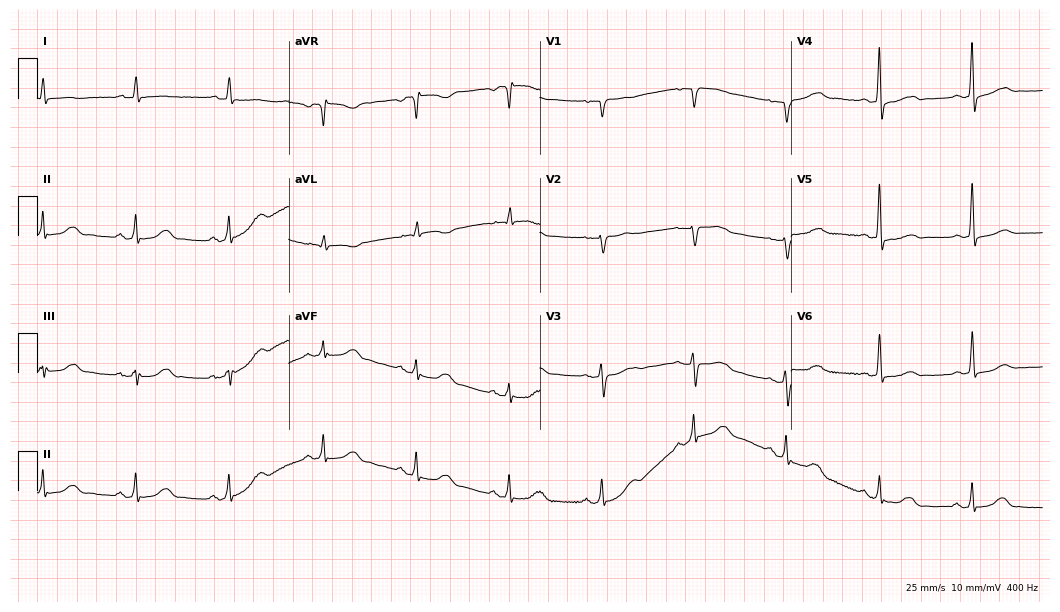
Electrocardiogram (10.2-second recording at 400 Hz), a male, 75 years old. Of the six screened findings (first-degree AV block, right bundle branch block, left bundle branch block, sinus bradycardia, atrial fibrillation, sinus tachycardia), none is recorded.